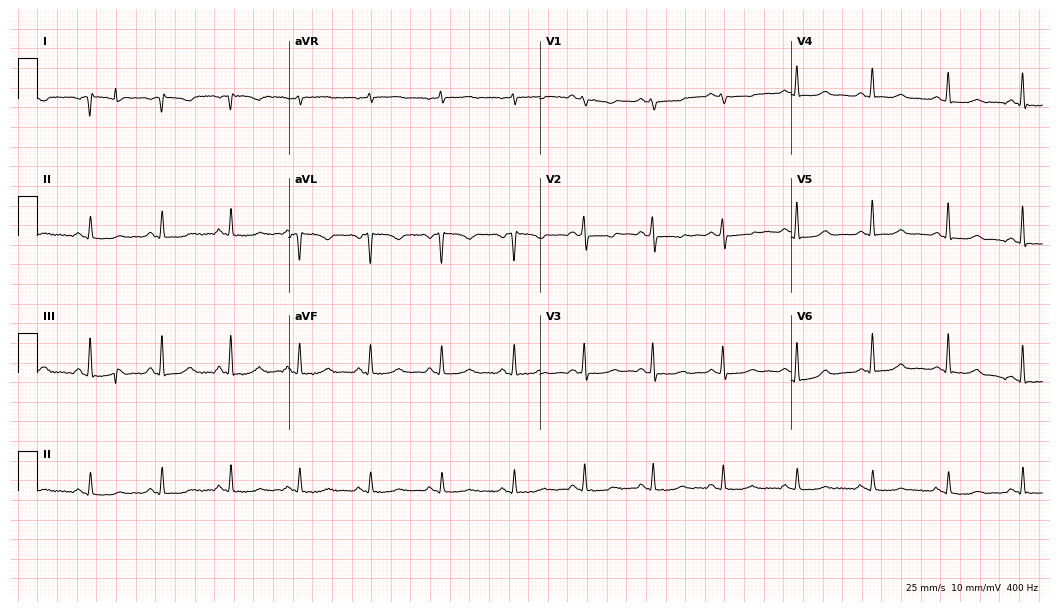
ECG (10.2-second recording at 400 Hz) — a female, 39 years old. Screened for six findings — first-degree AV block, right bundle branch block, left bundle branch block, sinus bradycardia, atrial fibrillation, sinus tachycardia — none is recorded. Other findings, if any, are not listed.